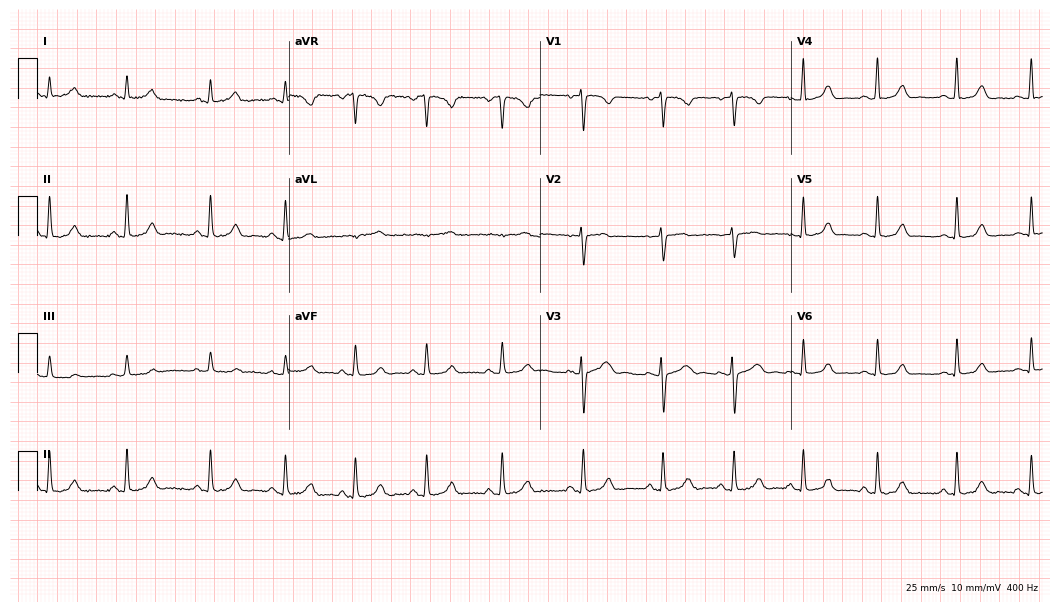
Standard 12-lead ECG recorded from a 21-year-old female. Read as a normal ECG.